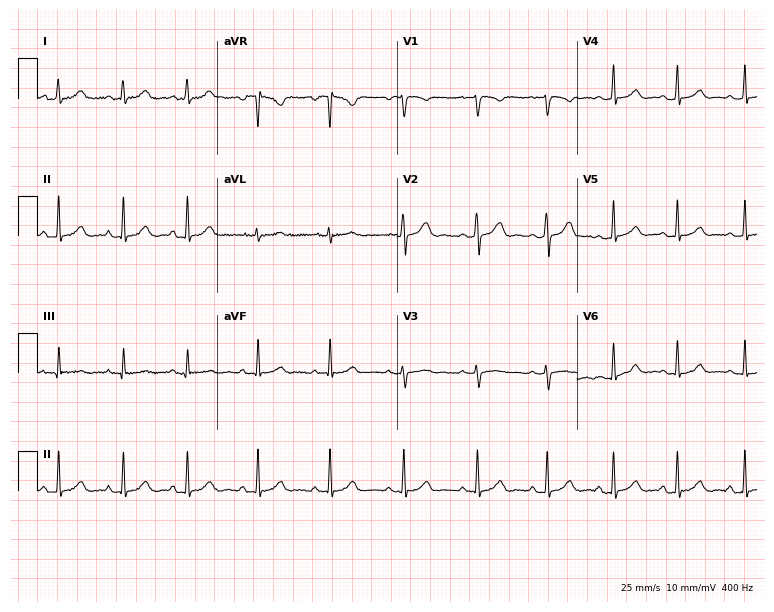
Electrocardiogram (7.3-second recording at 400 Hz), a female patient, 18 years old. Overall reading on record: normal ECG.